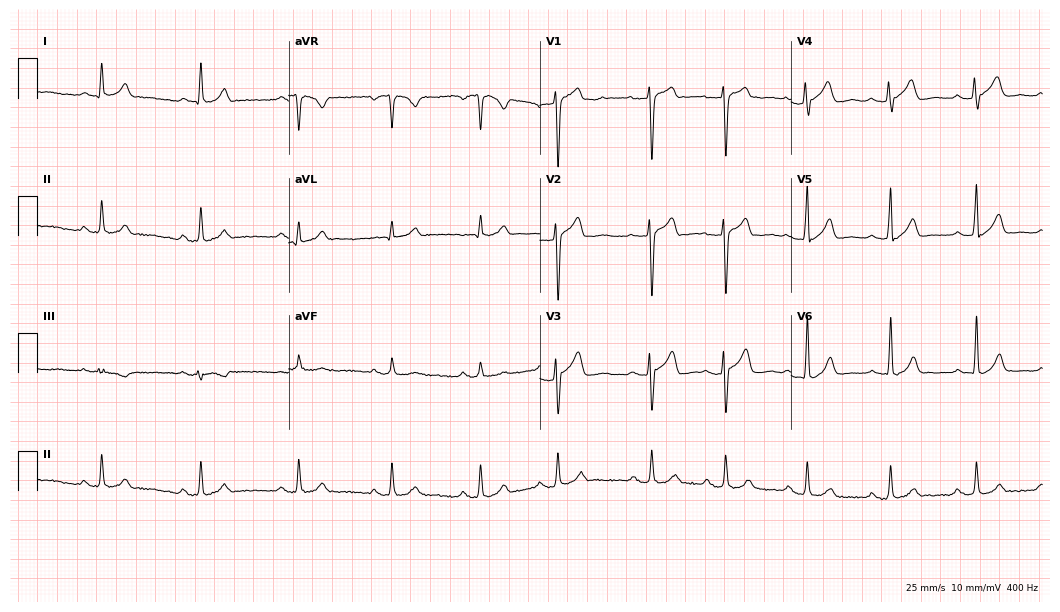
Resting 12-lead electrocardiogram (10.2-second recording at 400 Hz). Patient: a man, 46 years old. None of these six findings is recorded: first-degree AV block, right bundle branch block (RBBB), left bundle branch block (LBBB), sinus bradycardia, atrial fibrillation (AF), sinus tachycardia.